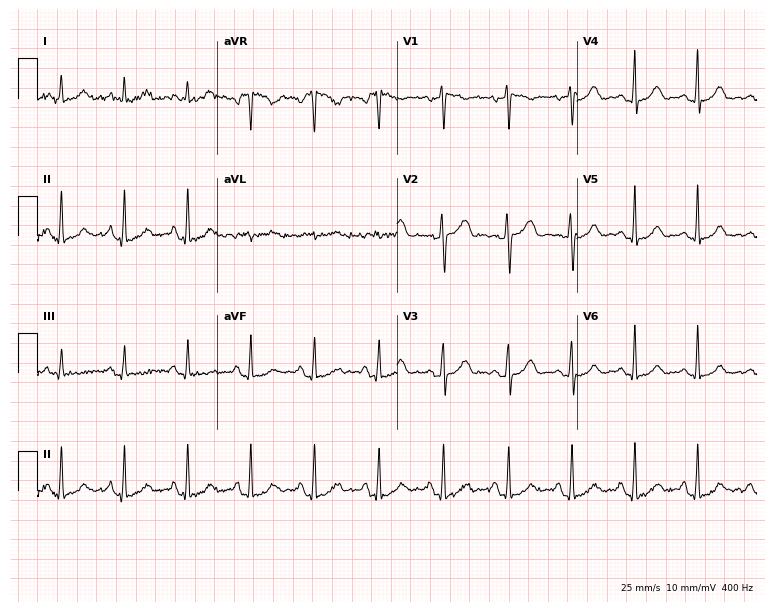
Standard 12-lead ECG recorded from a 51-year-old female patient. None of these six findings is recorded: first-degree AV block, right bundle branch block (RBBB), left bundle branch block (LBBB), sinus bradycardia, atrial fibrillation (AF), sinus tachycardia.